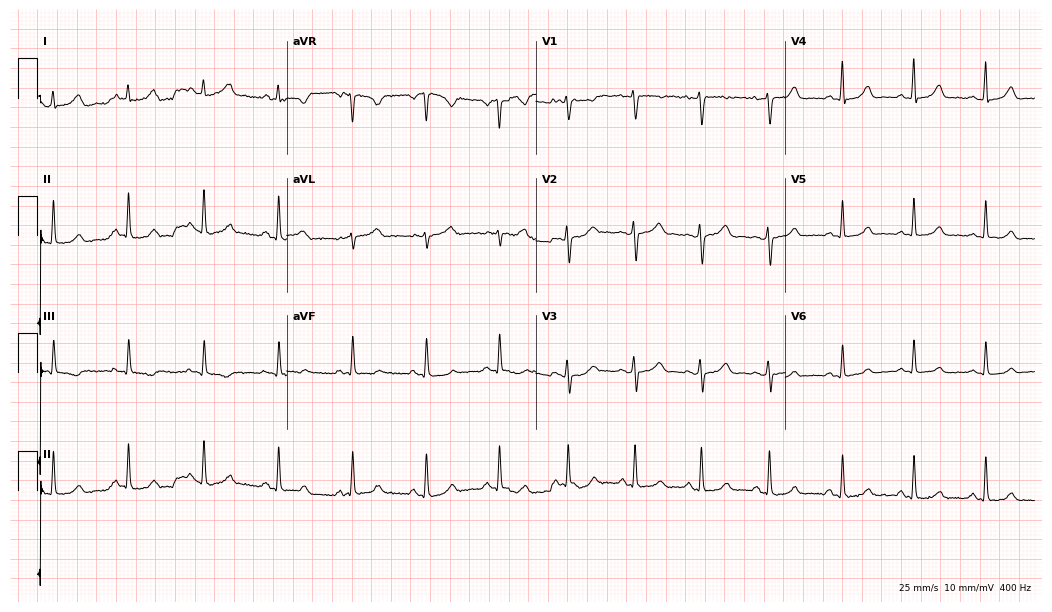
ECG — a female, 55 years old. Screened for six findings — first-degree AV block, right bundle branch block, left bundle branch block, sinus bradycardia, atrial fibrillation, sinus tachycardia — none is recorded. Findings outside these six are not listed.